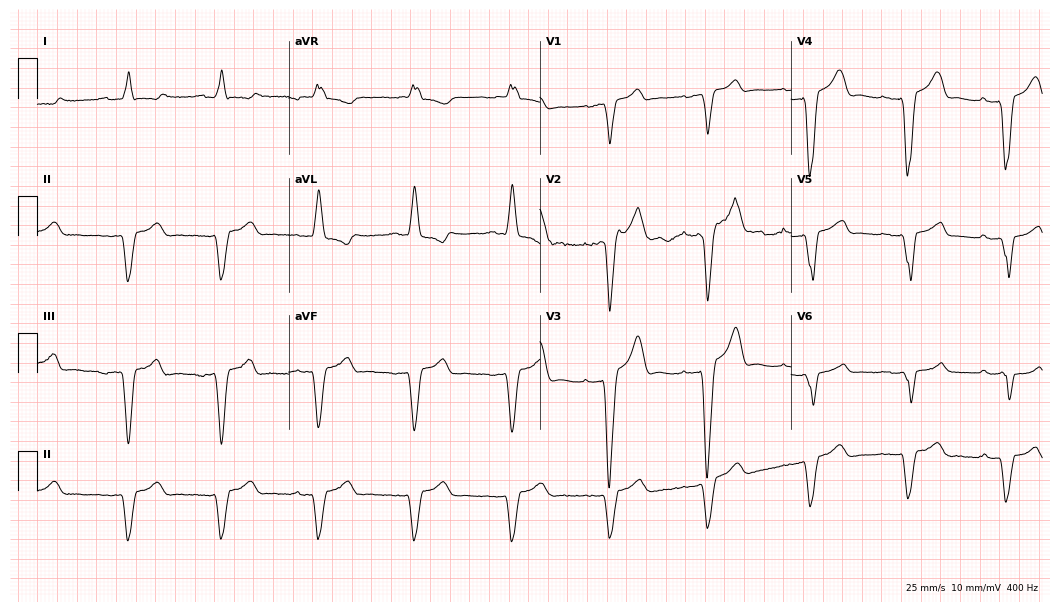
ECG — a 77-year-old male patient. Screened for six findings — first-degree AV block, right bundle branch block, left bundle branch block, sinus bradycardia, atrial fibrillation, sinus tachycardia — none is recorded. Other findings, if any, are not listed.